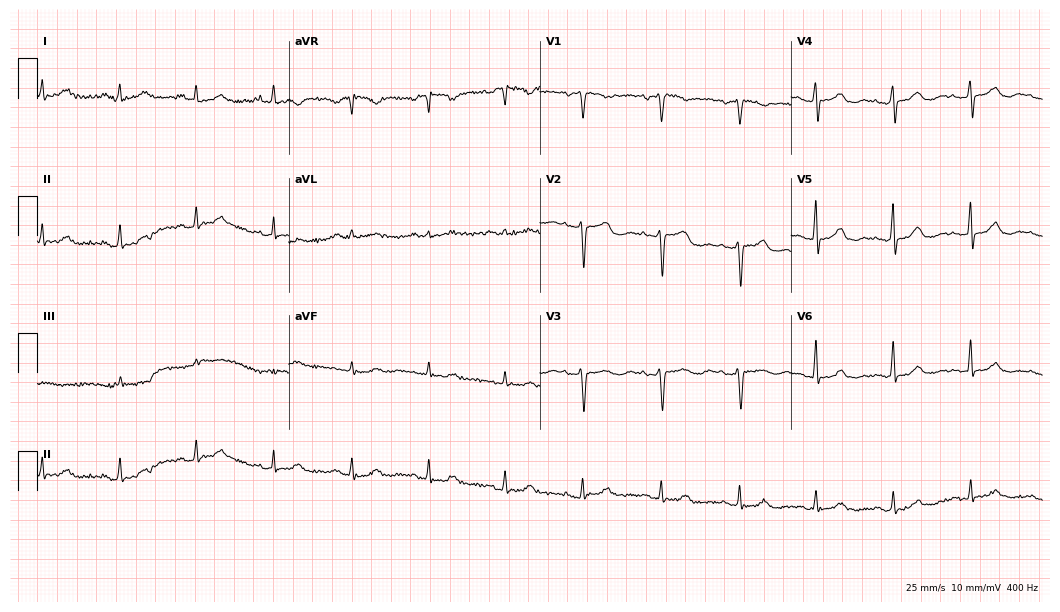
12-lead ECG from a female patient, 61 years old. Recorded interpretation: within normal limits.